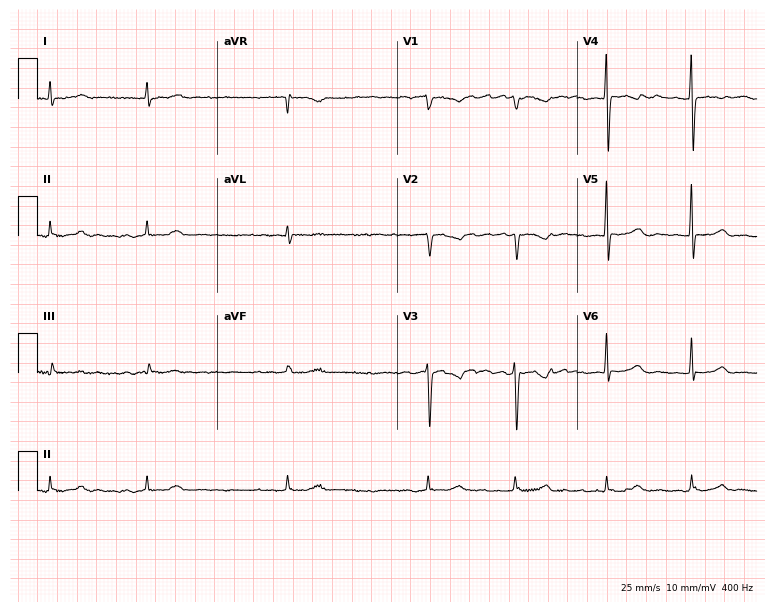
Electrocardiogram (7.3-second recording at 400 Hz), a female patient, 77 years old. Interpretation includes atrial fibrillation (AF).